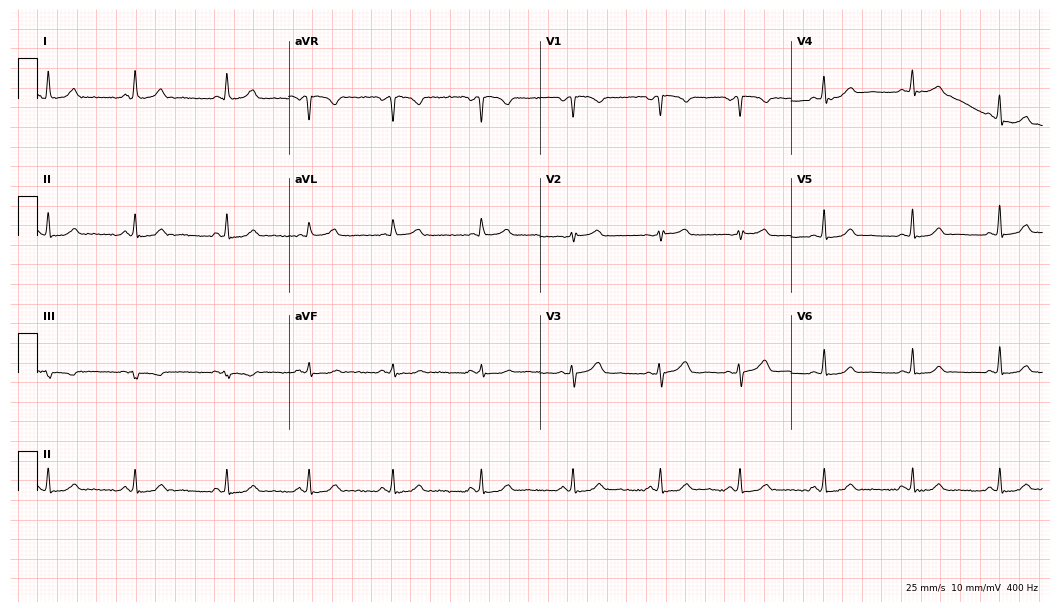
12-lead ECG (10.2-second recording at 400 Hz) from a woman, 48 years old. Screened for six findings — first-degree AV block, right bundle branch block, left bundle branch block, sinus bradycardia, atrial fibrillation, sinus tachycardia — none is recorded. Only these six findings were labelled.